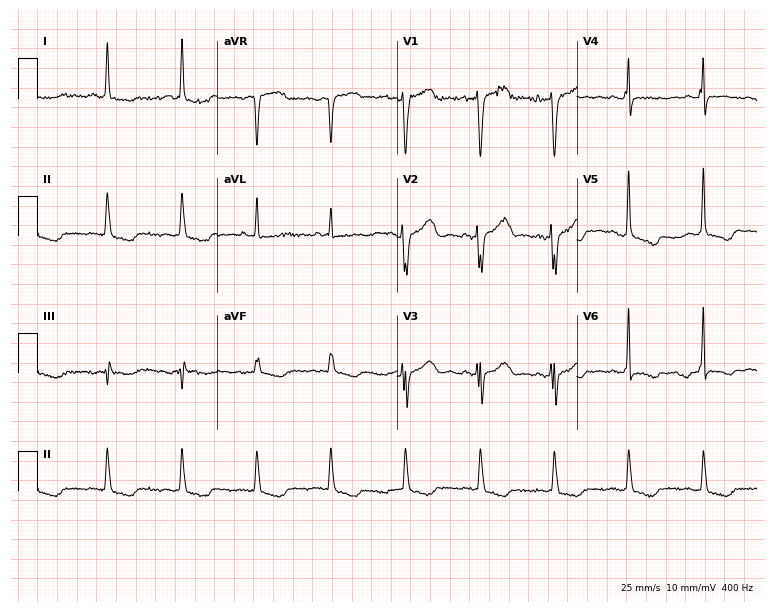
12-lead ECG (7.3-second recording at 400 Hz) from a woman, 61 years old. Screened for six findings — first-degree AV block, right bundle branch block (RBBB), left bundle branch block (LBBB), sinus bradycardia, atrial fibrillation (AF), sinus tachycardia — none is recorded. Other findings, if any, are not listed.